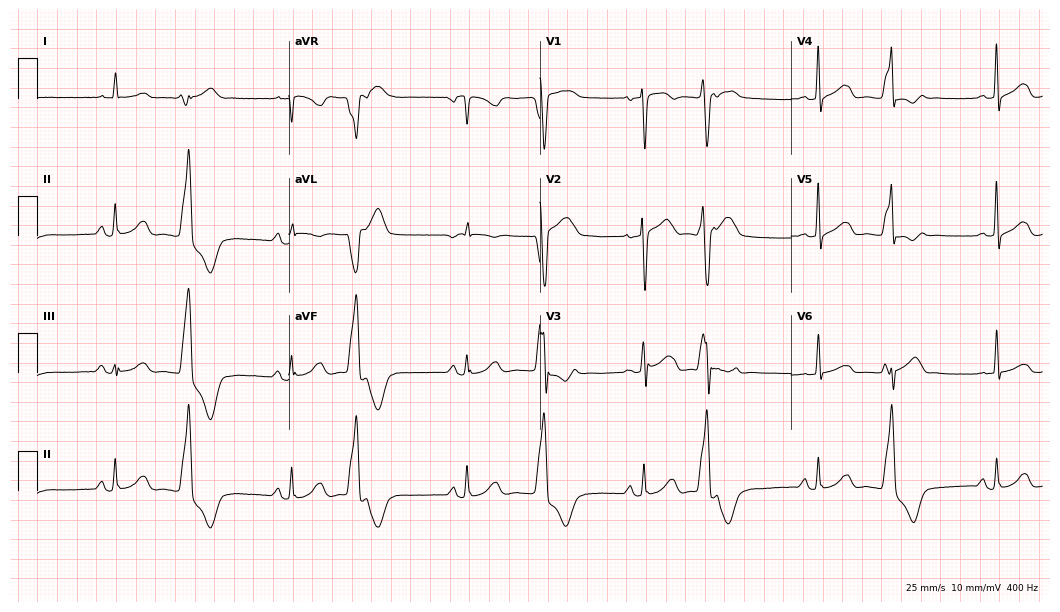
ECG — a 78-year-old woman. Screened for six findings — first-degree AV block, right bundle branch block, left bundle branch block, sinus bradycardia, atrial fibrillation, sinus tachycardia — none is recorded. Other findings, if any, are not listed.